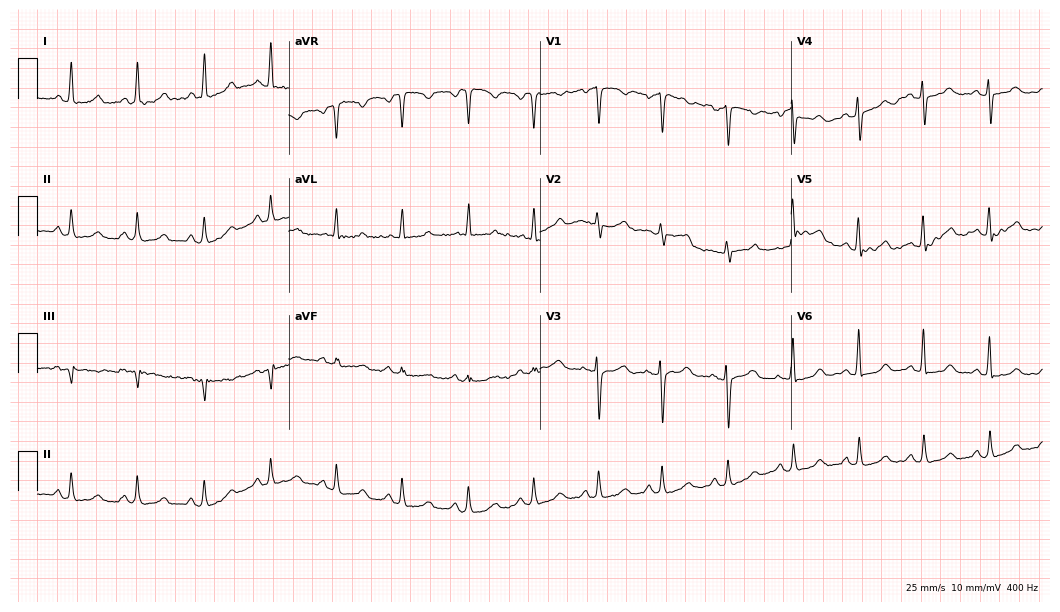
12-lead ECG from a female, 48 years old (10.2-second recording at 400 Hz). Recorded interpretation: within normal limits.